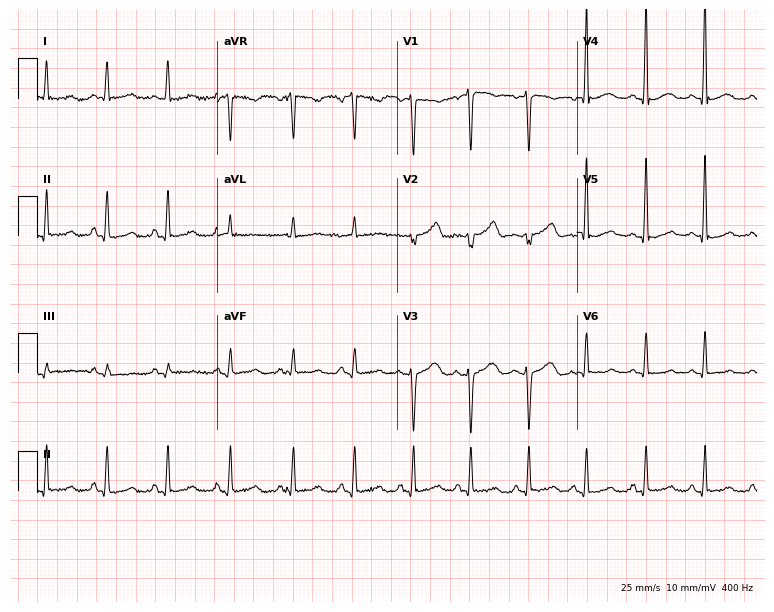
12-lead ECG from a female, 24 years old. No first-degree AV block, right bundle branch block, left bundle branch block, sinus bradycardia, atrial fibrillation or sinus tachycardia recorded for this tracing.